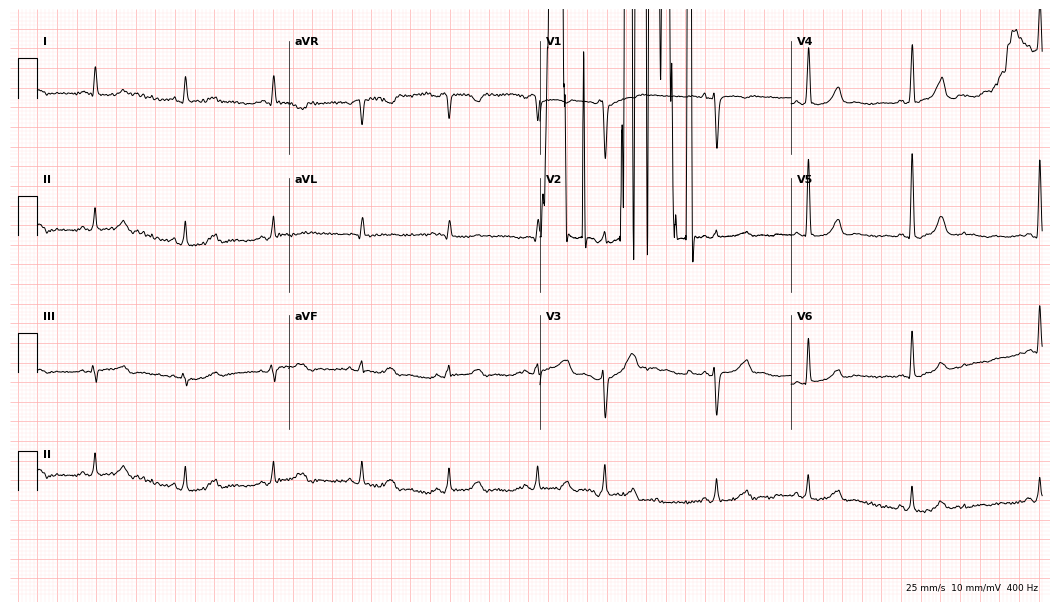
12-lead ECG from a 71-year-old female (10.2-second recording at 400 Hz). No first-degree AV block, right bundle branch block, left bundle branch block, sinus bradycardia, atrial fibrillation or sinus tachycardia recorded for this tracing. Other findings, if any, are not listed.